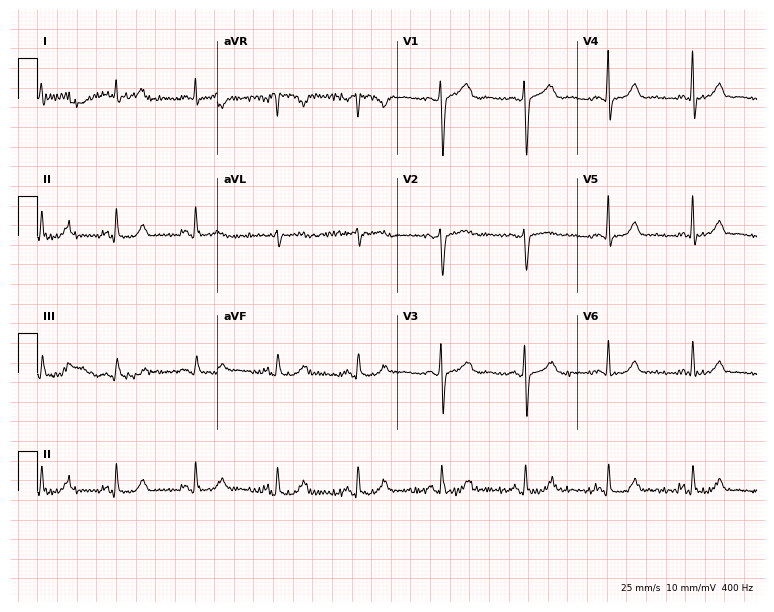
12-lead ECG from a 58-year-old female. Recorded interpretation: within normal limits.